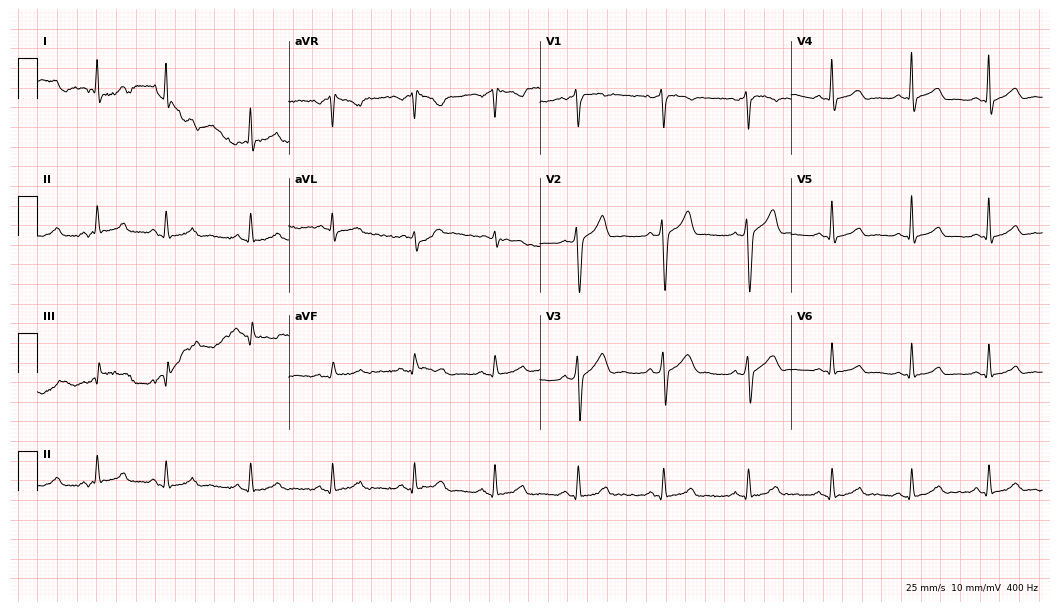
Electrocardiogram (10.2-second recording at 400 Hz), a 45-year-old man. Overall reading on record: normal ECG.